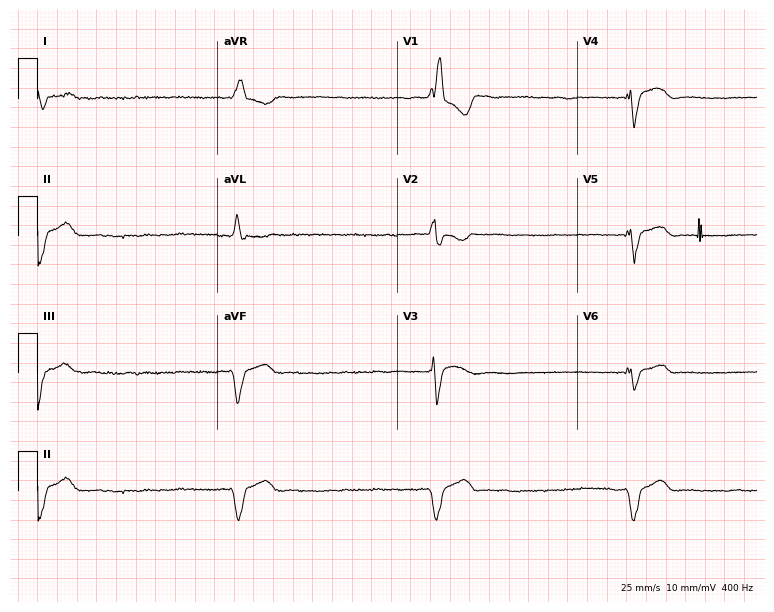
12-lead ECG (7.3-second recording at 400 Hz) from a 66-year-old female. Findings include atrial fibrillation.